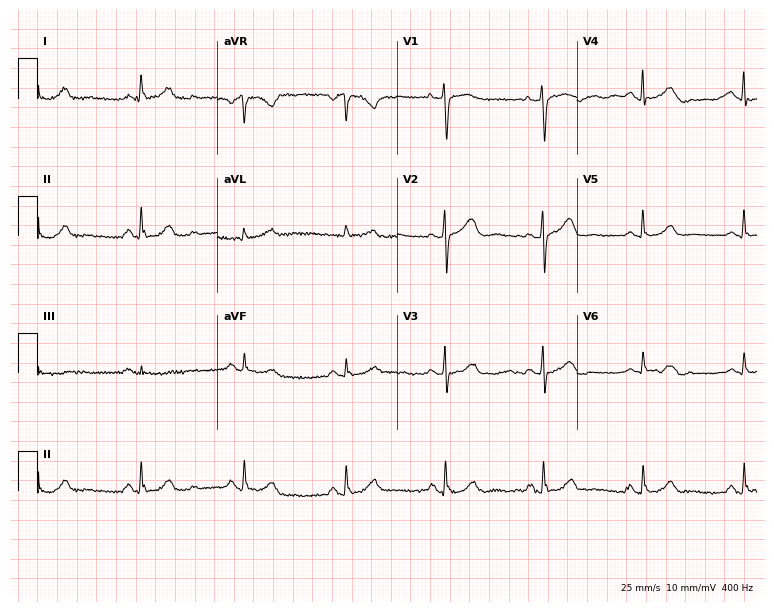
Standard 12-lead ECG recorded from a 60-year-old female patient (7.3-second recording at 400 Hz). Read as a normal ECG.